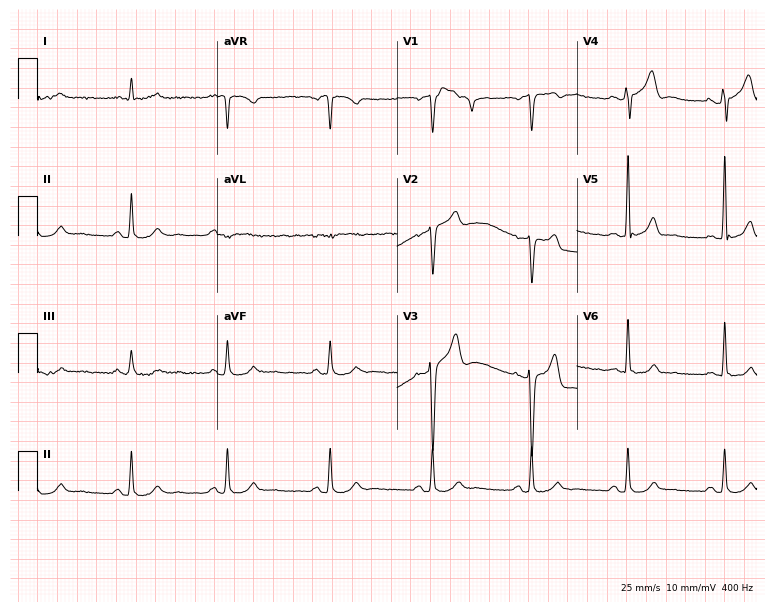
Electrocardiogram, a 57-year-old male patient. Of the six screened findings (first-degree AV block, right bundle branch block (RBBB), left bundle branch block (LBBB), sinus bradycardia, atrial fibrillation (AF), sinus tachycardia), none is recorded.